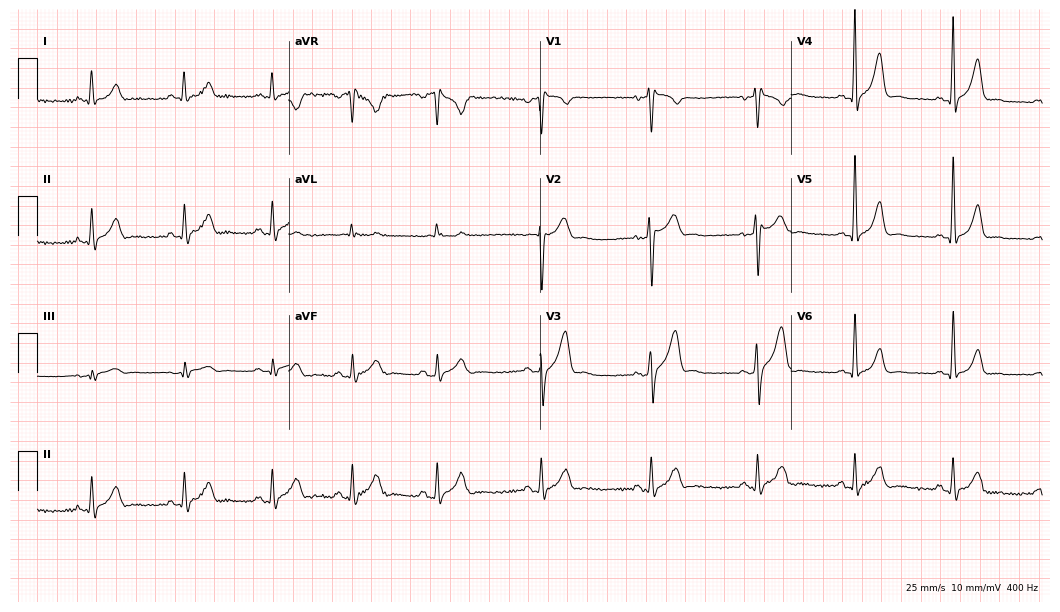
12-lead ECG from a man, 38 years old (10.2-second recording at 400 Hz). No first-degree AV block, right bundle branch block, left bundle branch block, sinus bradycardia, atrial fibrillation or sinus tachycardia recorded for this tracing. Only these six findings were labelled.